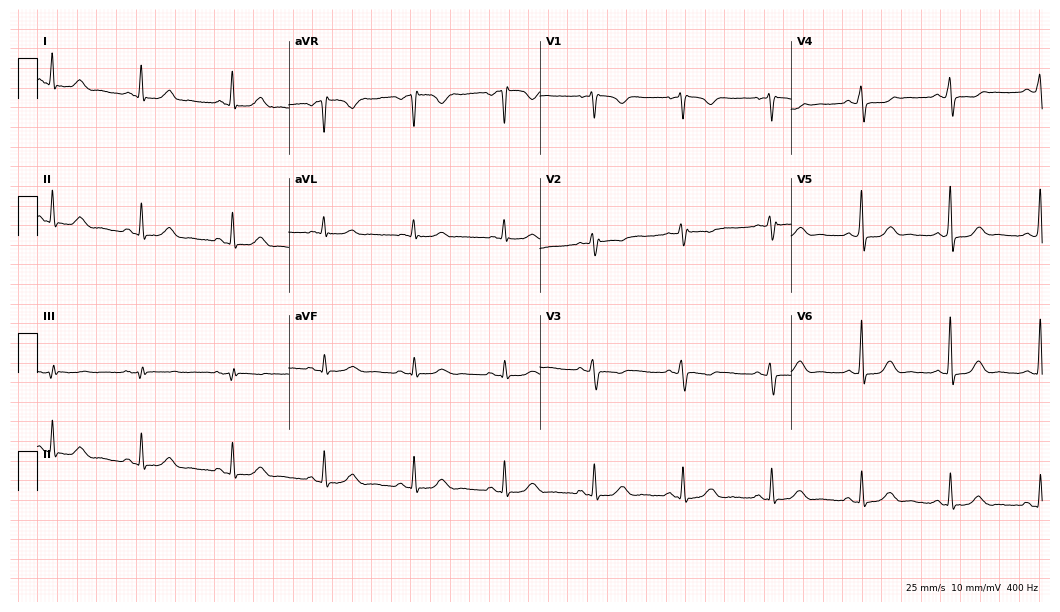
Standard 12-lead ECG recorded from a 54-year-old female. Read as a normal ECG.